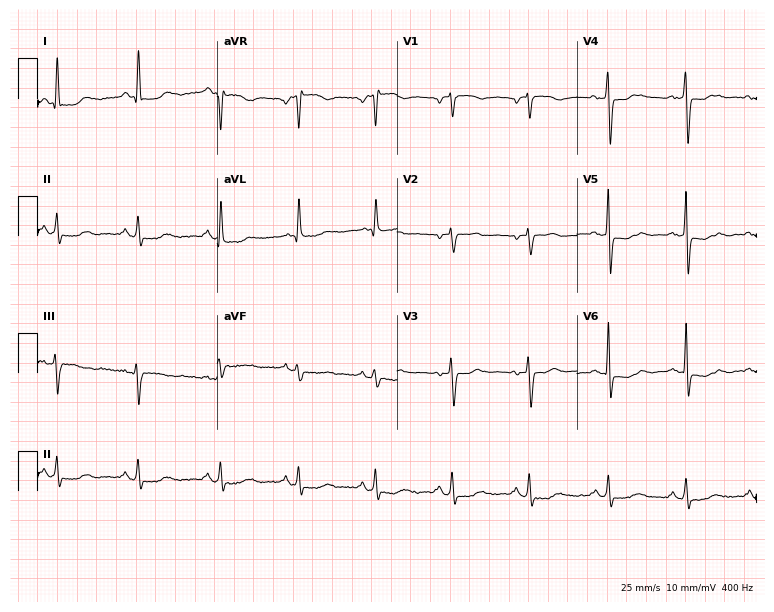
Electrocardiogram (7.3-second recording at 400 Hz), a female, 65 years old. Of the six screened findings (first-degree AV block, right bundle branch block (RBBB), left bundle branch block (LBBB), sinus bradycardia, atrial fibrillation (AF), sinus tachycardia), none is recorded. Only these six findings were labelled.